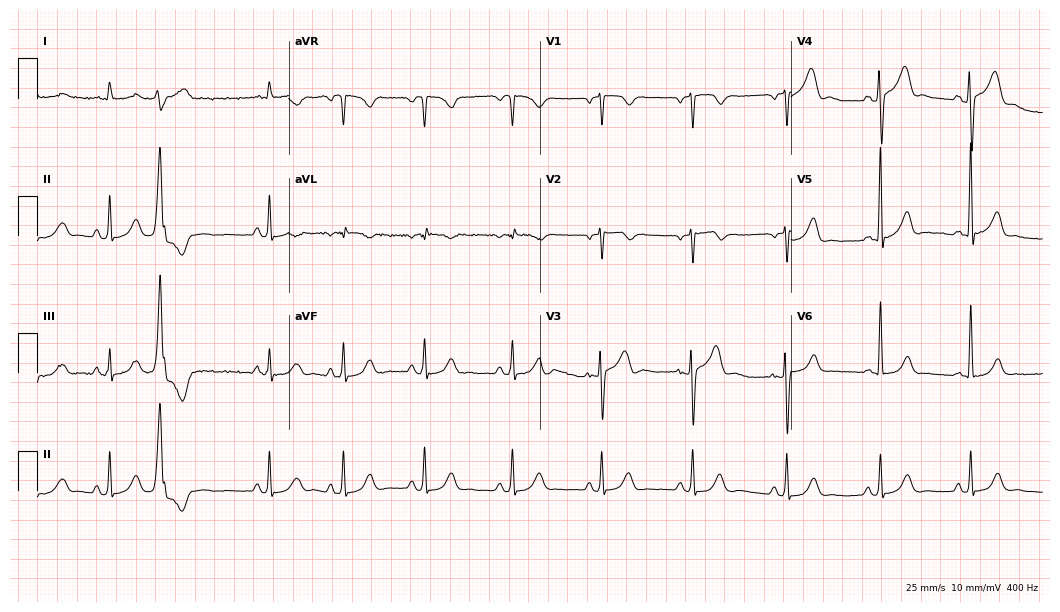
ECG (10.2-second recording at 400 Hz) — a male patient, 68 years old. Screened for six findings — first-degree AV block, right bundle branch block, left bundle branch block, sinus bradycardia, atrial fibrillation, sinus tachycardia — none is recorded. Only these six findings were labelled.